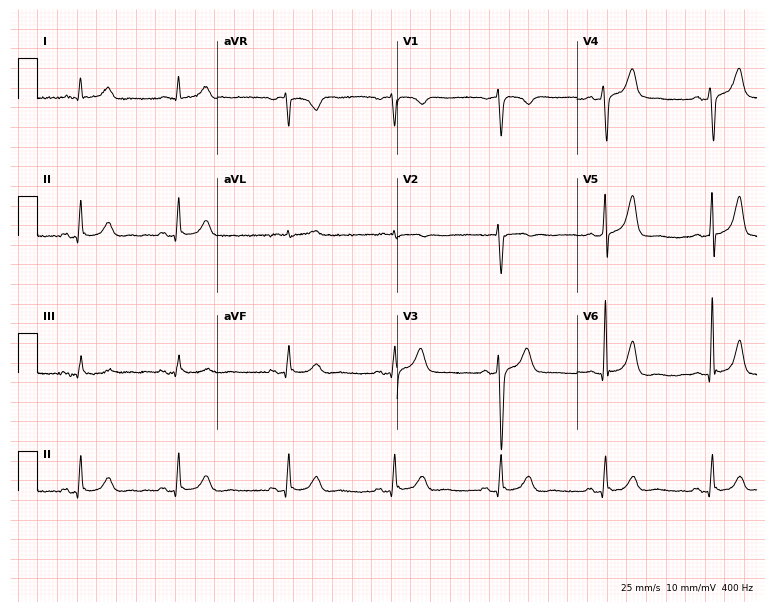
12-lead ECG from a 73-year-old male (7.3-second recording at 400 Hz). Recorded interpretation: within normal limits.